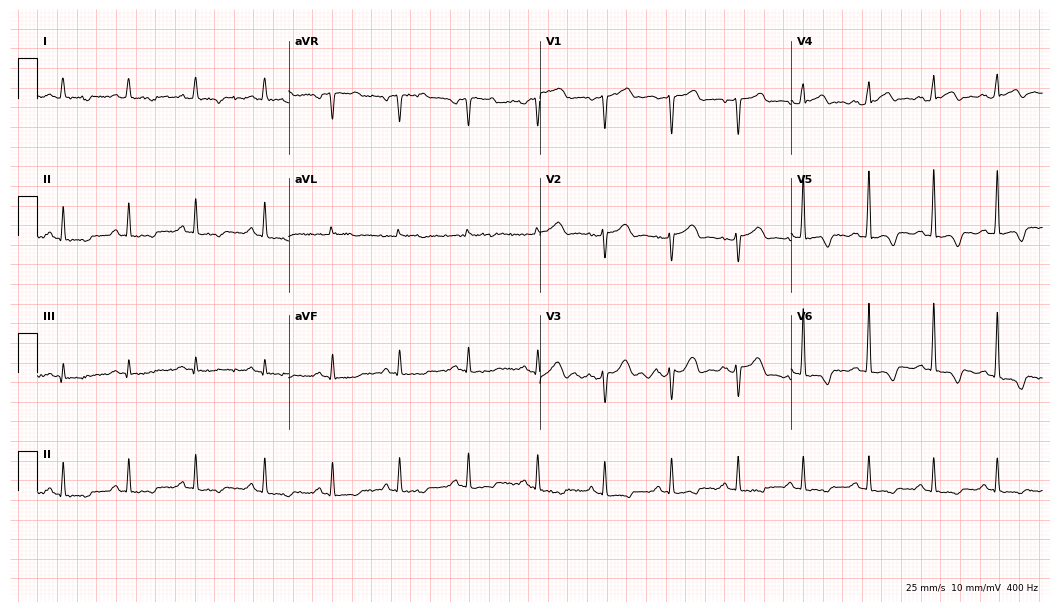
Resting 12-lead electrocardiogram (10.2-second recording at 400 Hz). Patient: a woman, 44 years old. None of these six findings is recorded: first-degree AV block, right bundle branch block (RBBB), left bundle branch block (LBBB), sinus bradycardia, atrial fibrillation (AF), sinus tachycardia. Only these six findings were labelled.